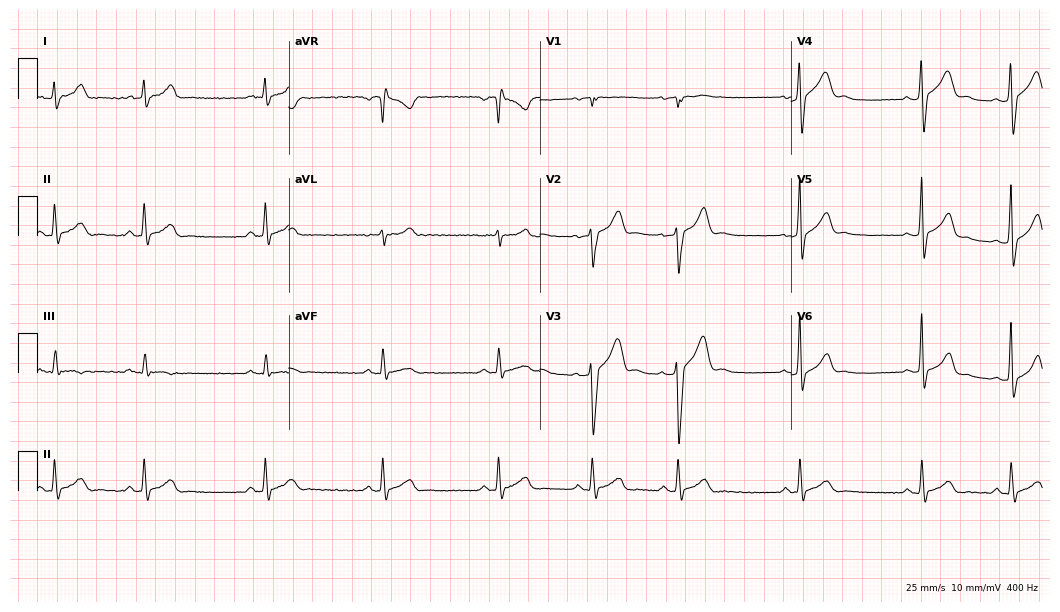
12-lead ECG from a male patient, 20 years old (10.2-second recording at 400 Hz). Recorded interpretation: within normal limits.